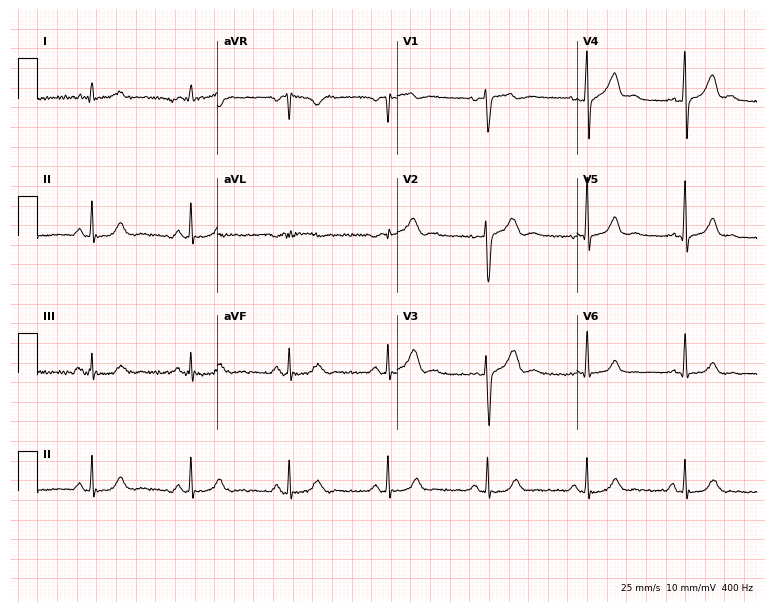
12-lead ECG (7.3-second recording at 400 Hz) from a 47-year-old male. Screened for six findings — first-degree AV block, right bundle branch block, left bundle branch block, sinus bradycardia, atrial fibrillation, sinus tachycardia — none is recorded.